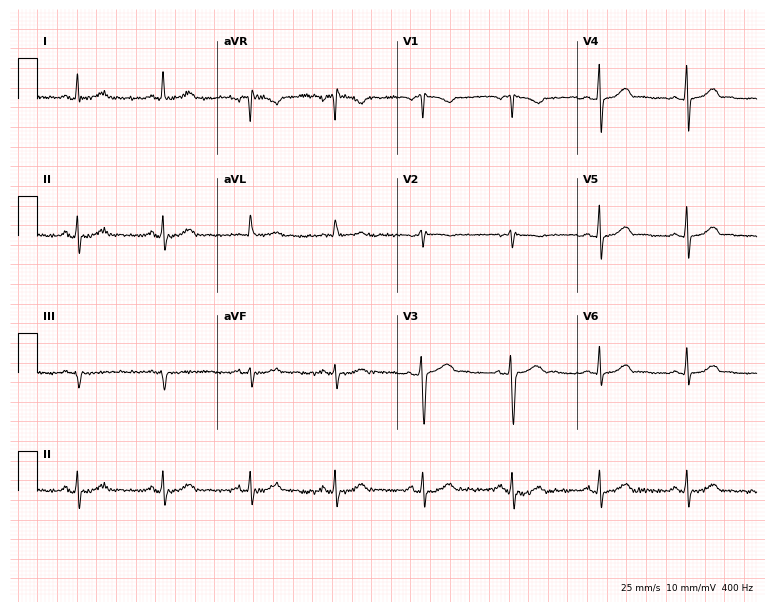
Standard 12-lead ECG recorded from a female, 42 years old. None of these six findings is recorded: first-degree AV block, right bundle branch block, left bundle branch block, sinus bradycardia, atrial fibrillation, sinus tachycardia. Only these six findings were labelled.